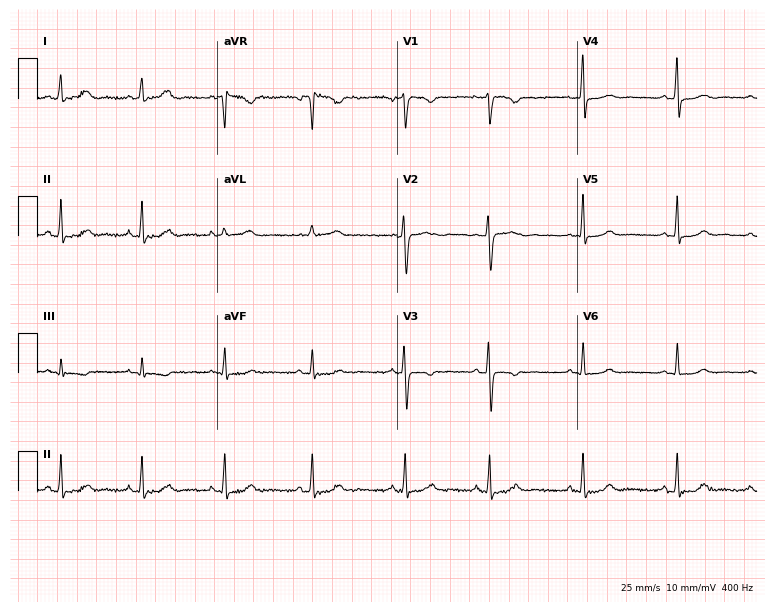
12-lead ECG (7.3-second recording at 400 Hz) from a female, 34 years old. Labelled as a normal ECG.